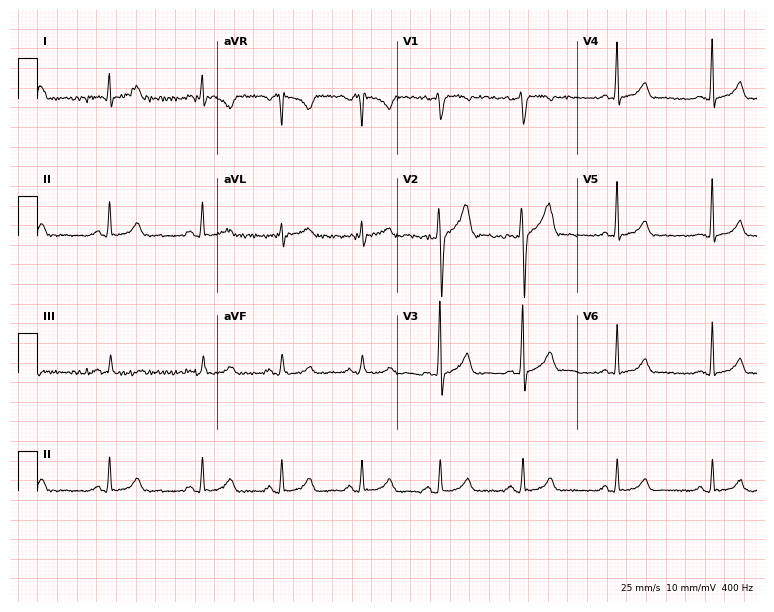
ECG — a man, 38 years old. Screened for six findings — first-degree AV block, right bundle branch block, left bundle branch block, sinus bradycardia, atrial fibrillation, sinus tachycardia — none is recorded.